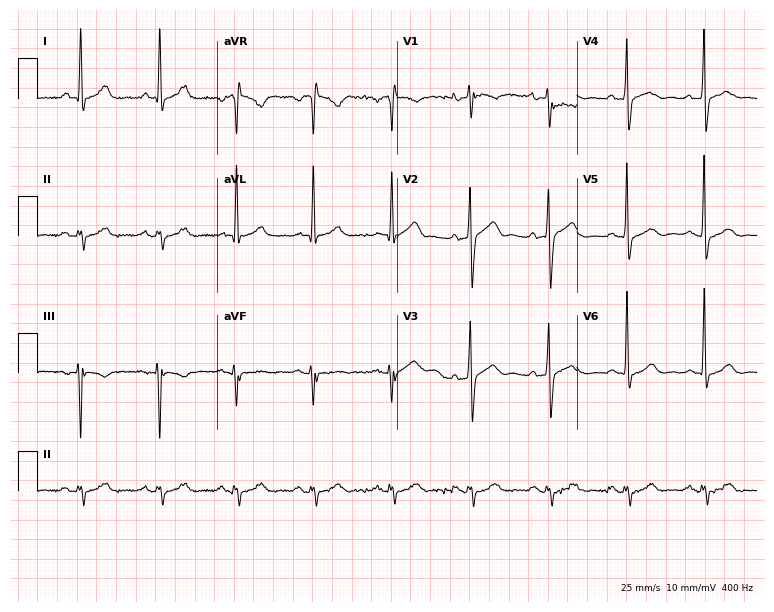
Standard 12-lead ECG recorded from a male, 56 years old (7.3-second recording at 400 Hz). None of these six findings is recorded: first-degree AV block, right bundle branch block (RBBB), left bundle branch block (LBBB), sinus bradycardia, atrial fibrillation (AF), sinus tachycardia. Findings outside these six are not listed.